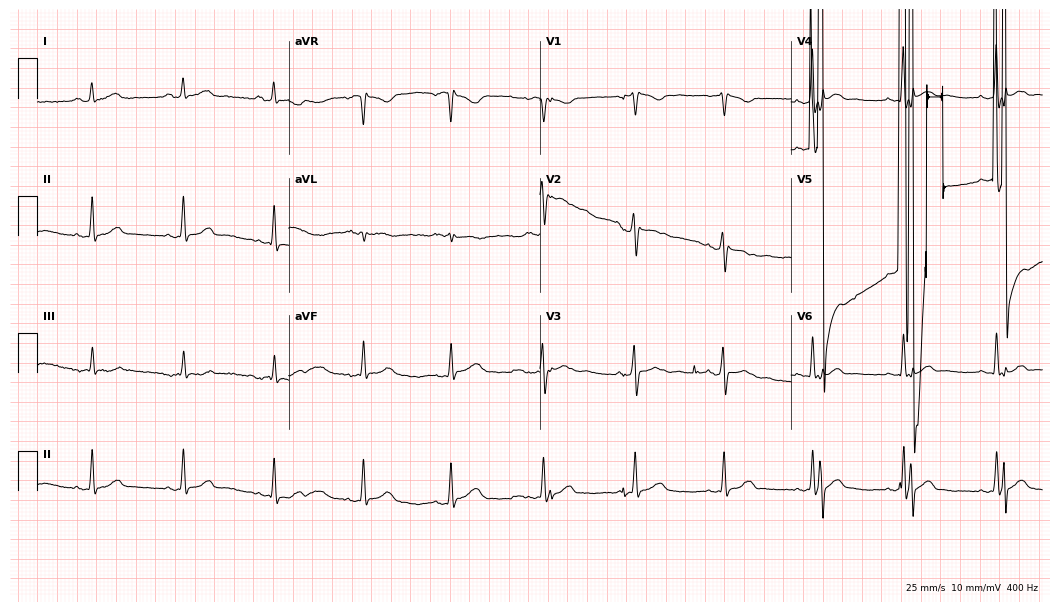
ECG — a female, 53 years old. Labelled as a normal ECG.